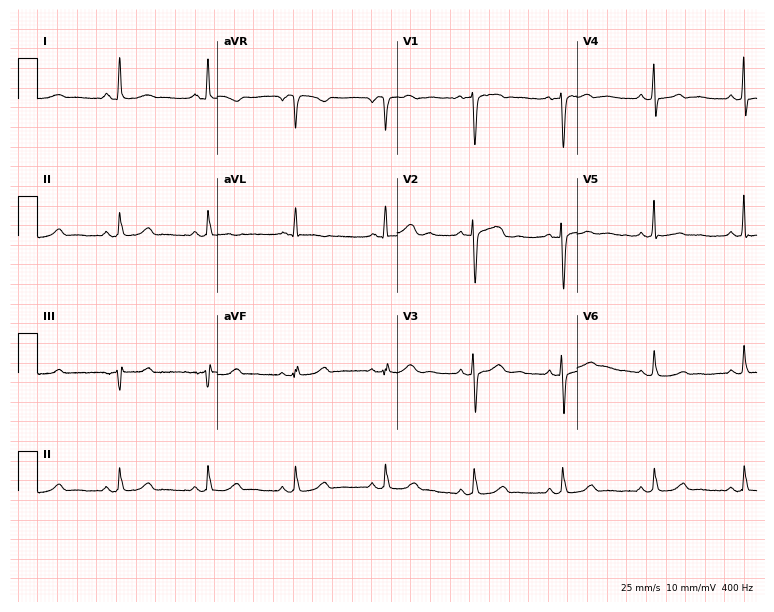
Standard 12-lead ECG recorded from a woman, 49 years old. None of these six findings is recorded: first-degree AV block, right bundle branch block, left bundle branch block, sinus bradycardia, atrial fibrillation, sinus tachycardia. Findings outside these six are not listed.